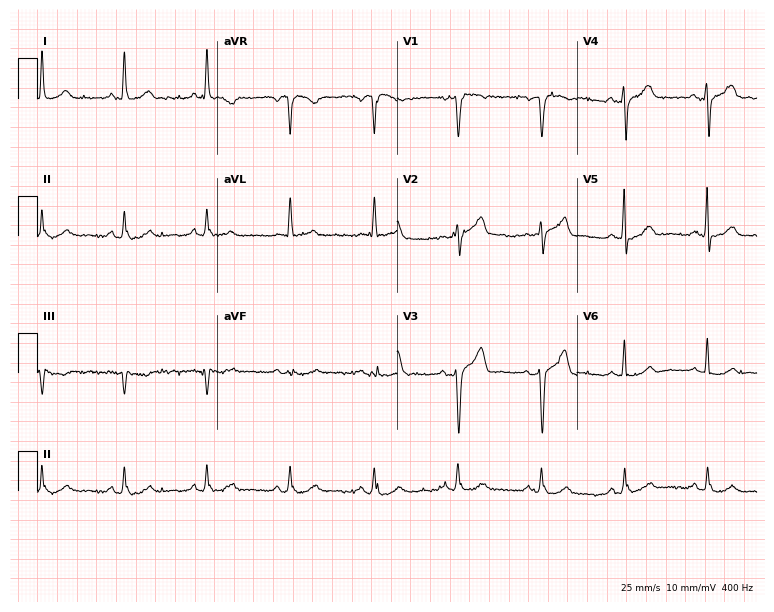
12-lead ECG from a male, 56 years old. Recorded interpretation: within normal limits.